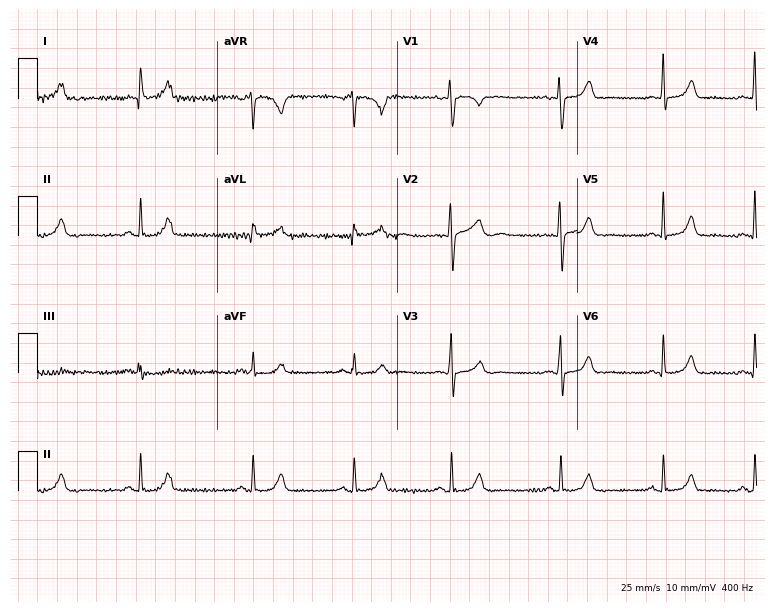
12-lead ECG from a 28-year-old female patient (7.3-second recording at 400 Hz). Recorded interpretation: within normal limits.